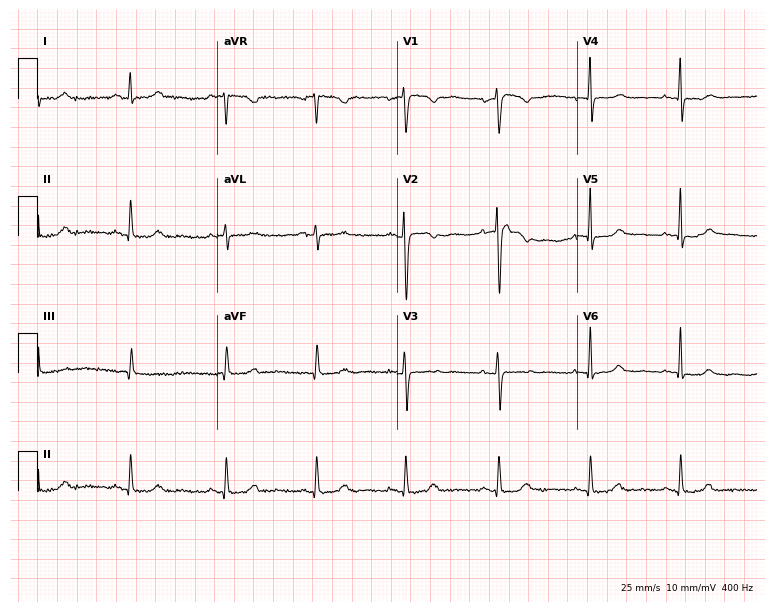
12-lead ECG from a female patient, 45 years old. Recorded interpretation: within normal limits.